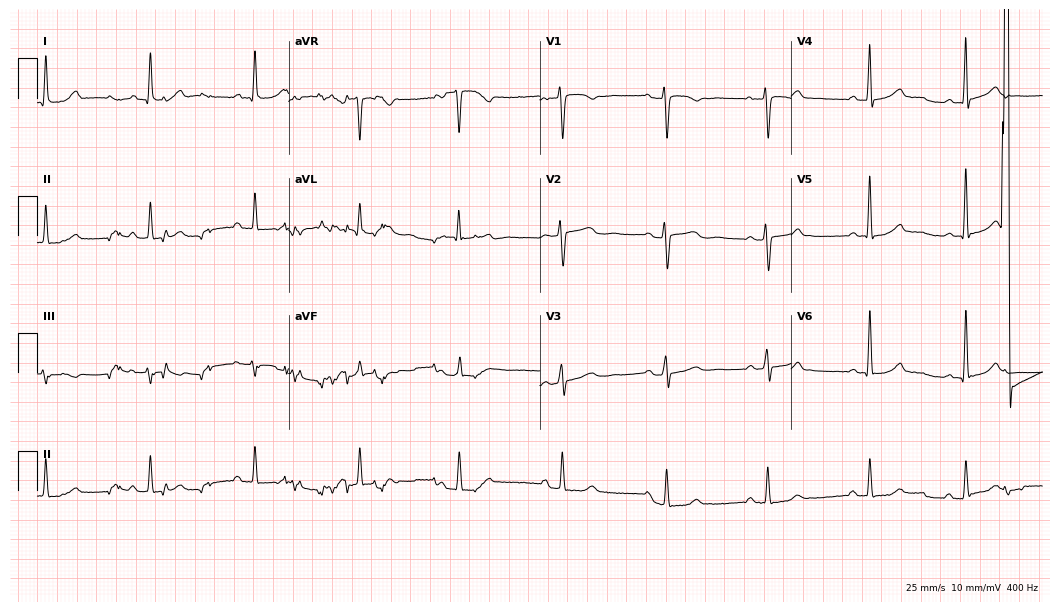
Standard 12-lead ECG recorded from a female patient, 55 years old (10.2-second recording at 400 Hz). None of these six findings is recorded: first-degree AV block, right bundle branch block (RBBB), left bundle branch block (LBBB), sinus bradycardia, atrial fibrillation (AF), sinus tachycardia. Findings outside these six are not listed.